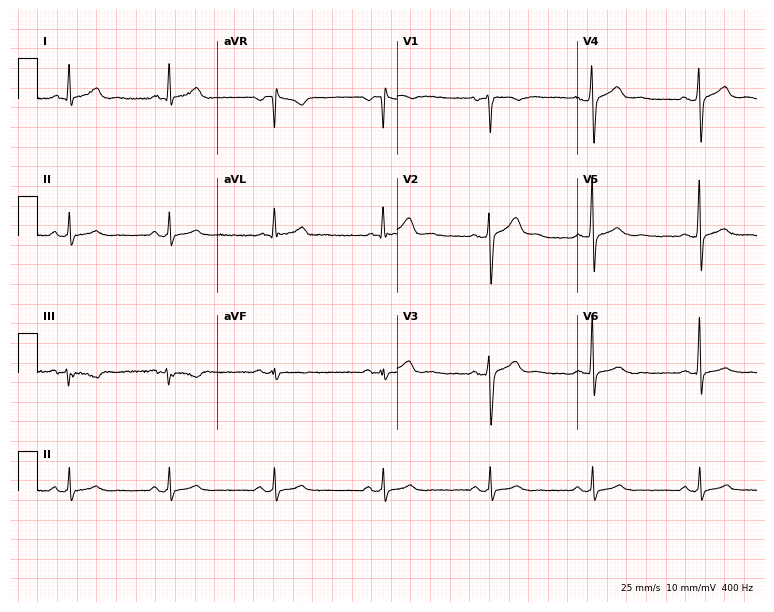
Electrocardiogram (7.3-second recording at 400 Hz), a male patient, 35 years old. Overall reading on record: normal ECG.